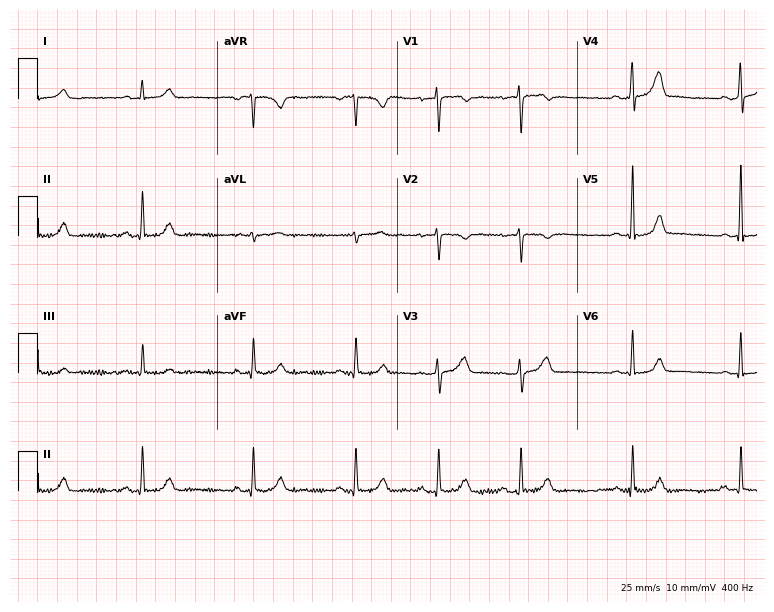
Resting 12-lead electrocardiogram. Patient: a 34-year-old female. Read as a normal ECG.